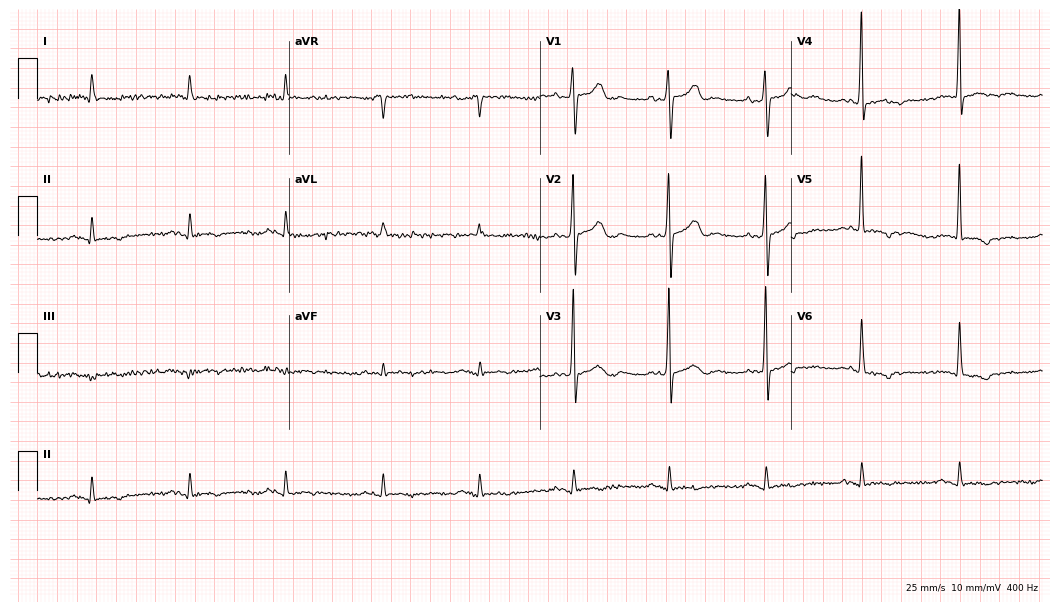
12-lead ECG (10.2-second recording at 400 Hz) from a man, 78 years old. Screened for six findings — first-degree AV block, right bundle branch block, left bundle branch block, sinus bradycardia, atrial fibrillation, sinus tachycardia — none is recorded. Only these six findings were labelled.